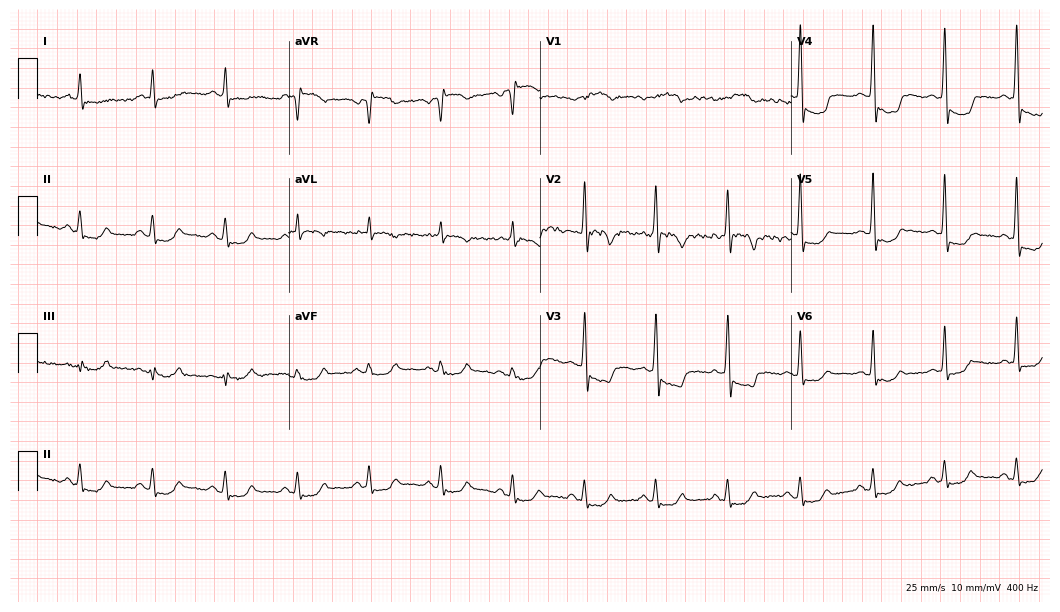
ECG — a male, 58 years old. Labelled as a normal ECG.